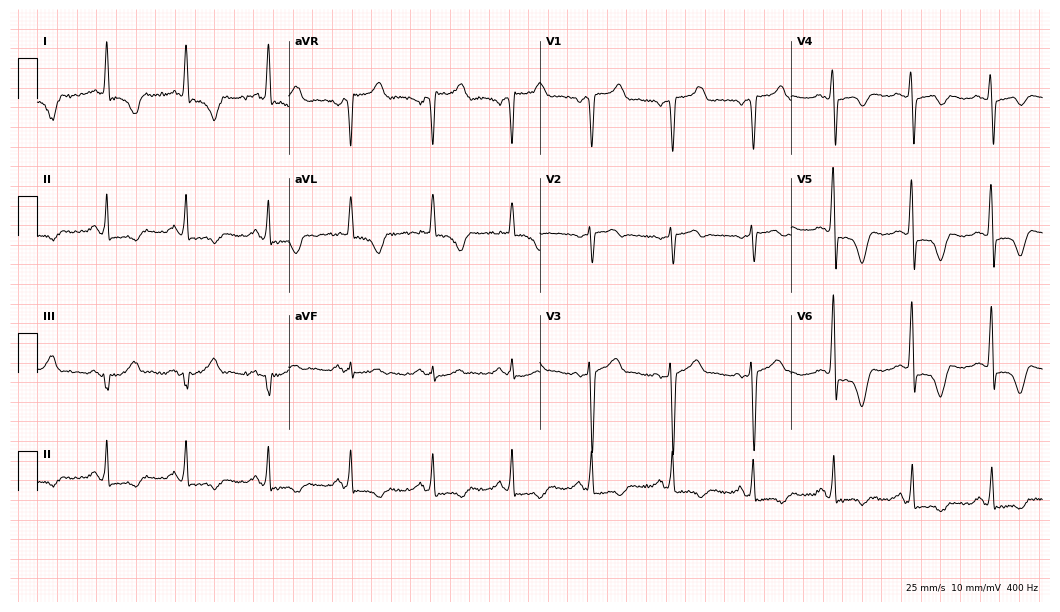
12-lead ECG from a 56-year-old male patient (10.2-second recording at 400 Hz). No first-degree AV block, right bundle branch block, left bundle branch block, sinus bradycardia, atrial fibrillation or sinus tachycardia recorded for this tracing. Other findings, if any, are not listed.